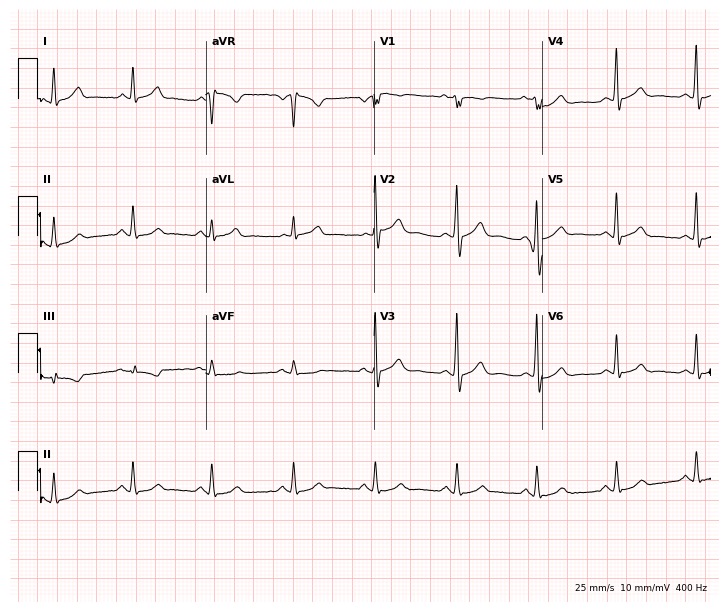
12-lead ECG from a male patient, 56 years old (6.9-second recording at 400 Hz). No first-degree AV block, right bundle branch block (RBBB), left bundle branch block (LBBB), sinus bradycardia, atrial fibrillation (AF) or sinus tachycardia recorded for this tracing. Other findings, if any, are not listed.